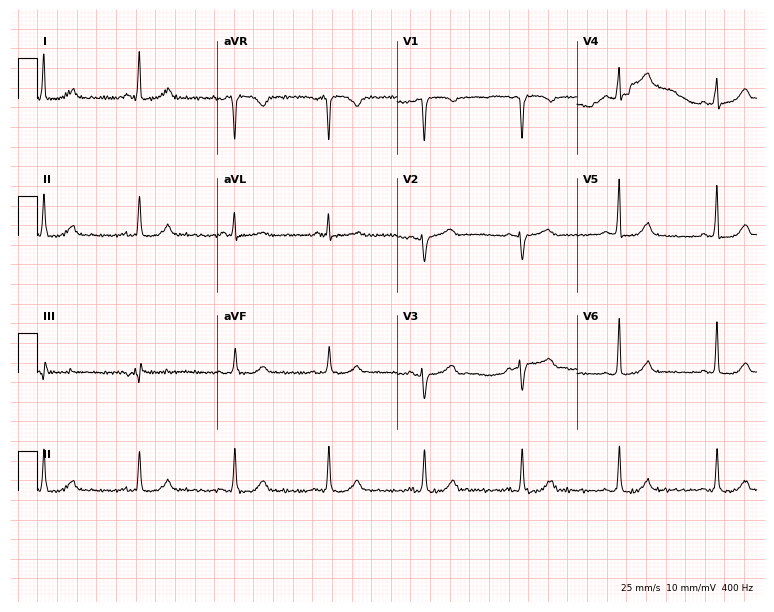
Electrocardiogram, a female, 66 years old. Of the six screened findings (first-degree AV block, right bundle branch block (RBBB), left bundle branch block (LBBB), sinus bradycardia, atrial fibrillation (AF), sinus tachycardia), none is recorded.